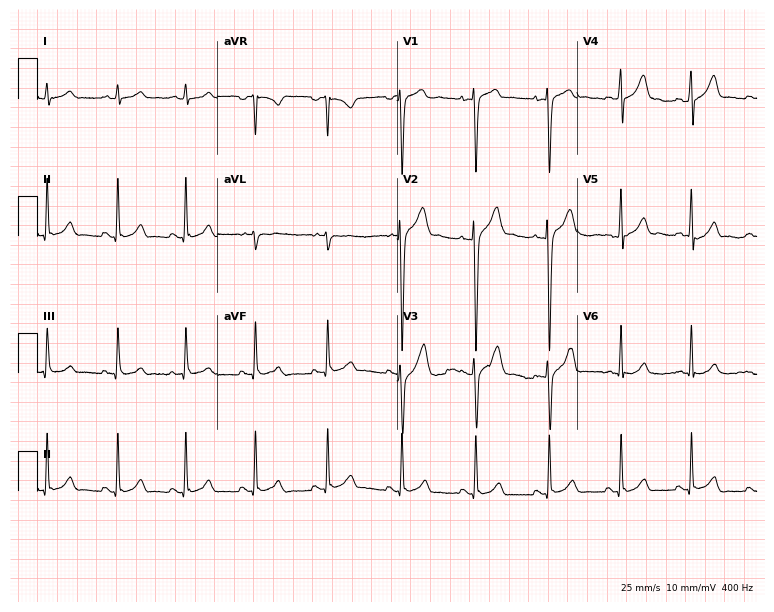
Standard 12-lead ECG recorded from a 22-year-old man (7.3-second recording at 400 Hz). Read as a normal ECG.